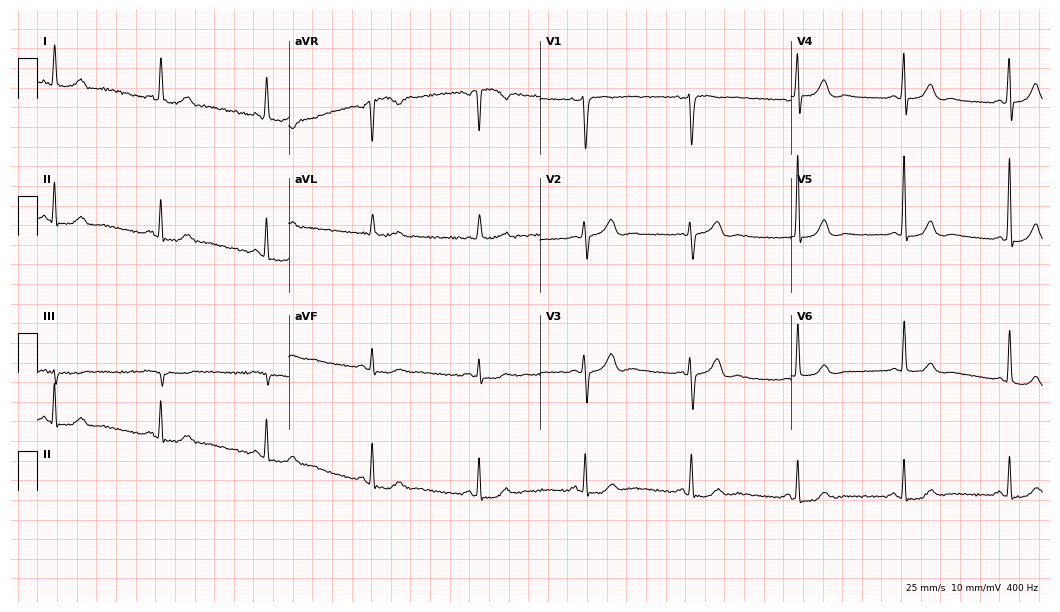
12-lead ECG (10.2-second recording at 400 Hz) from a 72-year-old woman. Screened for six findings — first-degree AV block, right bundle branch block (RBBB), left bundle branch block (LBBB), sinus bradycardia, atrial fibrillation (AF), sinus tachycardia — none is recorded.